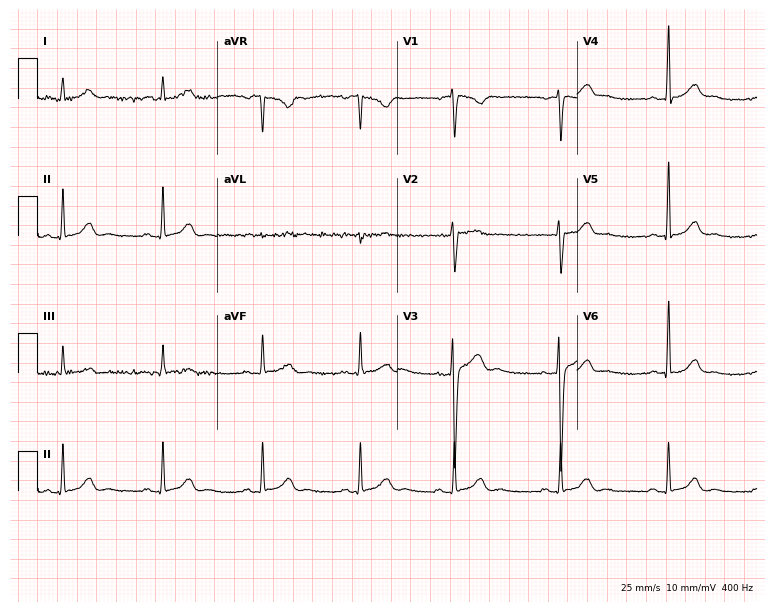
12-lead ECG from a male patient, 22 years old (7.3-second recording at 400 Hz). Recorded interpretation: within normal limits.